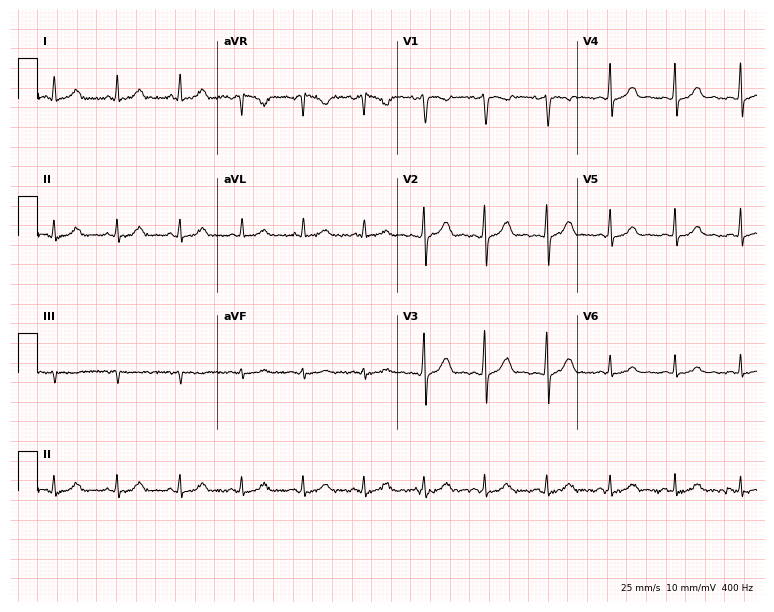
12-lead ECG from a female, 32 years old (7.3-second recording at 400 Hz). Recorded interpretation: within normal limits.